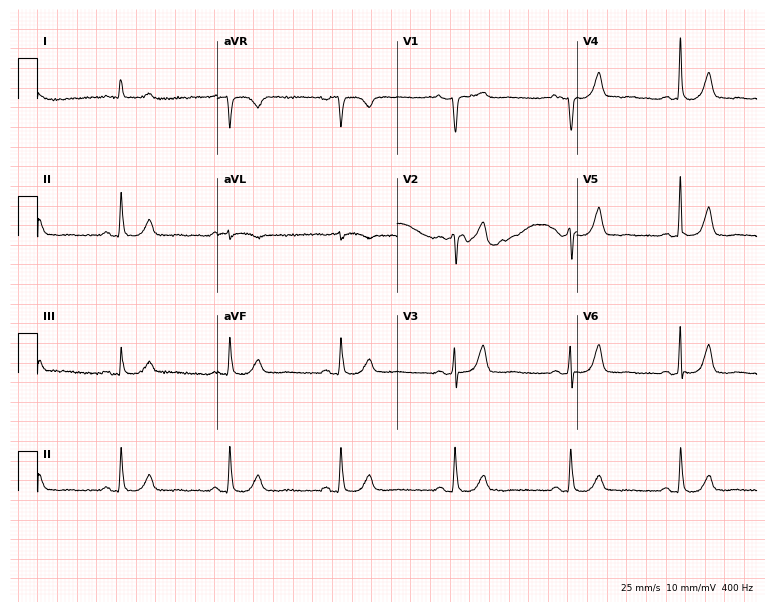
12-lead ECG from an 82-year-old female. Recorded interpretation: within normal limits.